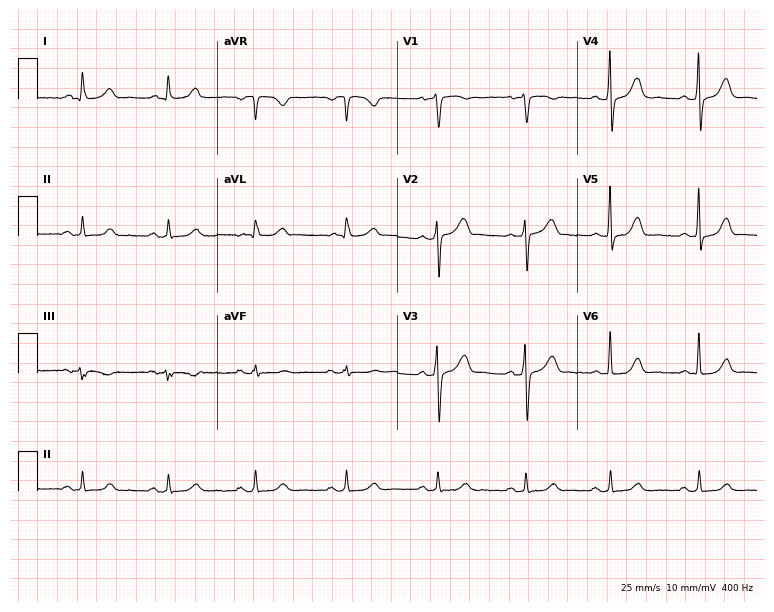
Electrocardiogram (7.3-second recording at 400 Hz), a woman, 36 years old. Of the six screened findings (first-degree AV block, right bundle branch block, left bundle branch block, sinus bradycardia, atrial fibrillation, sinus tachycardia), none is recorded.